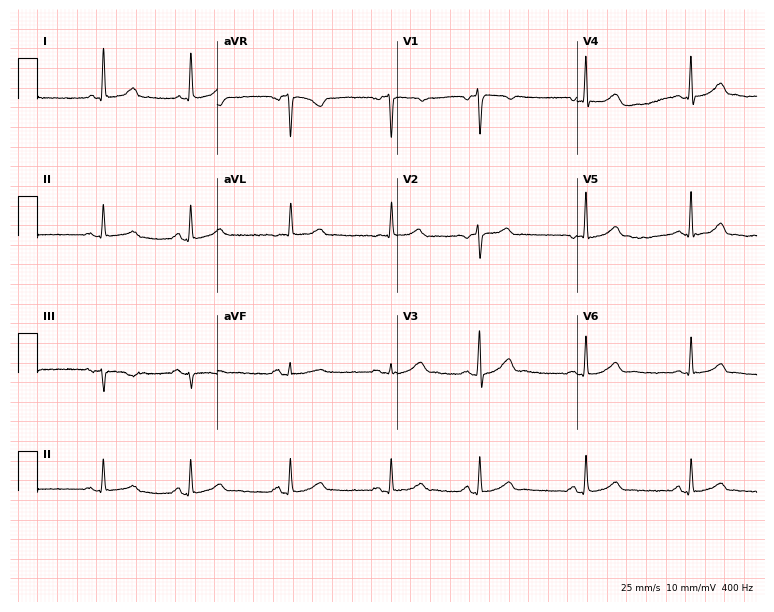
Standard 12-lead ECG recorded from a female, 35 years old. Read as a normal ECG.